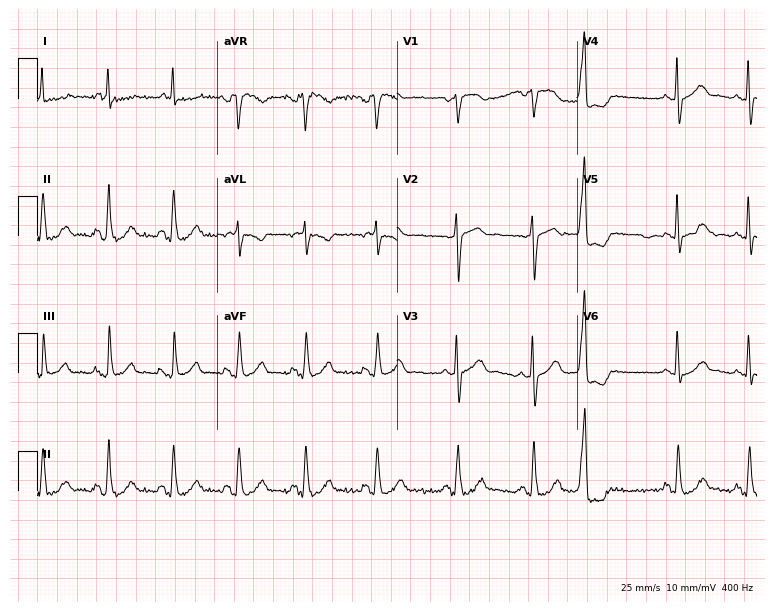
Standard 12-lead ECG recorded from a 65-year-old woman (7.3-second recording at 400 Hz). None of these six findings is recorded: first-degree AV block, right bundle branch block, left bundle branch block, sinus bradycardia, atrial fibrillation, sinus tachycardia. Other findings, if any, are not listed.